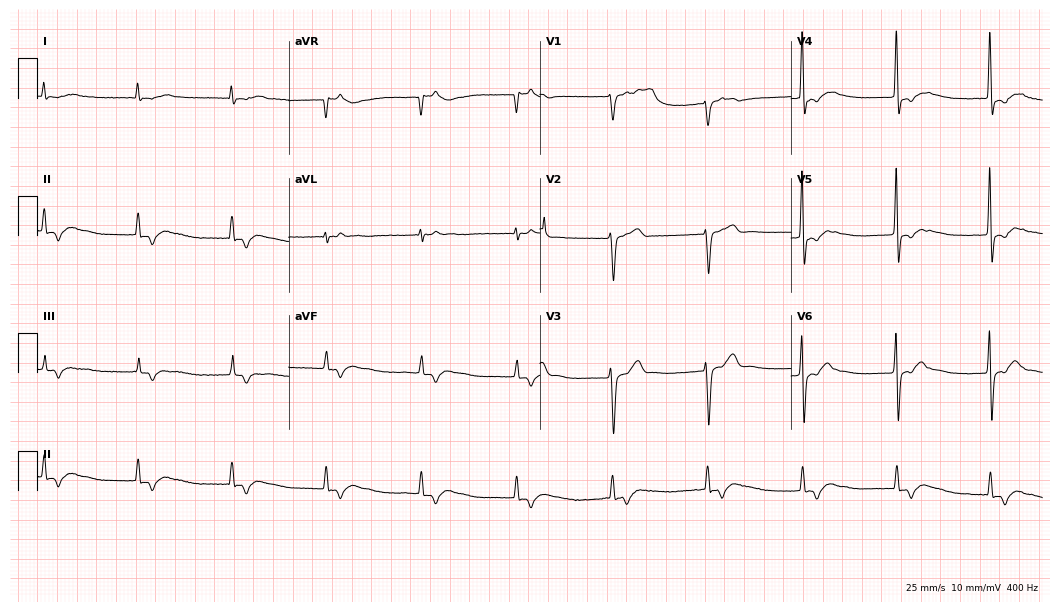
Resting 12-lead electrocardiogram (10.2-second recording at 400 Hz). Patient: a female, 80 years old. None of these six findings is recorded: first-degree AV block, right bundle branch block, left bundle branch block, sinus bradycardia, atrial fibrillation, sinus tachycardia. Only these six findings were labelled.